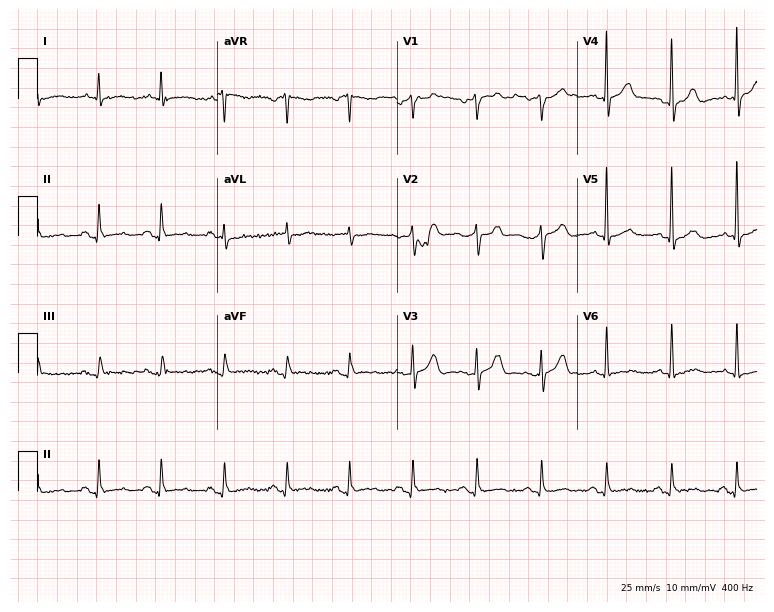
Electrocardiogram (7.3-second recording at 400 Hz), an 84-year-old male patient. Overall reading on record: normal ECG.